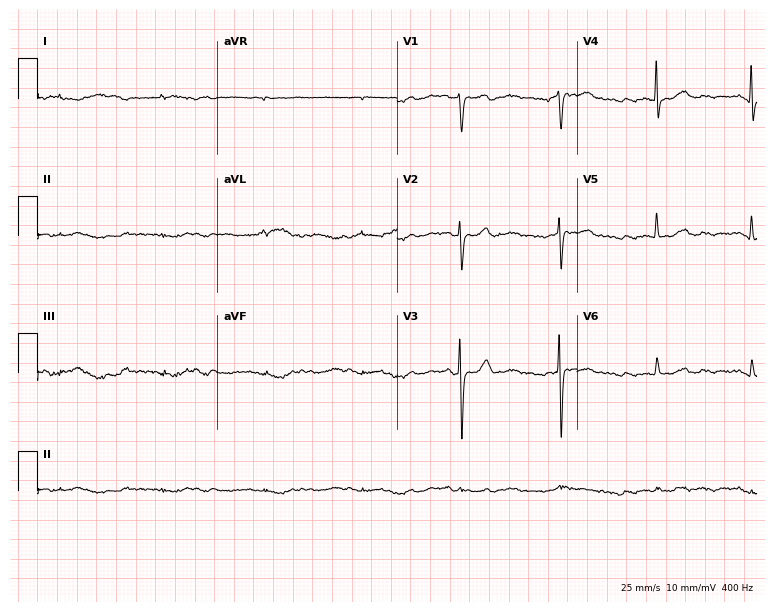
ECG — a 77-year-old female patient. Screened for six findings — first-degree AV block, right bundle branch block, left bundle branch block, sinus bradycardia, atrial fibrillation, sinus tachycardia — none is recorded. Only these six findings were labelled.